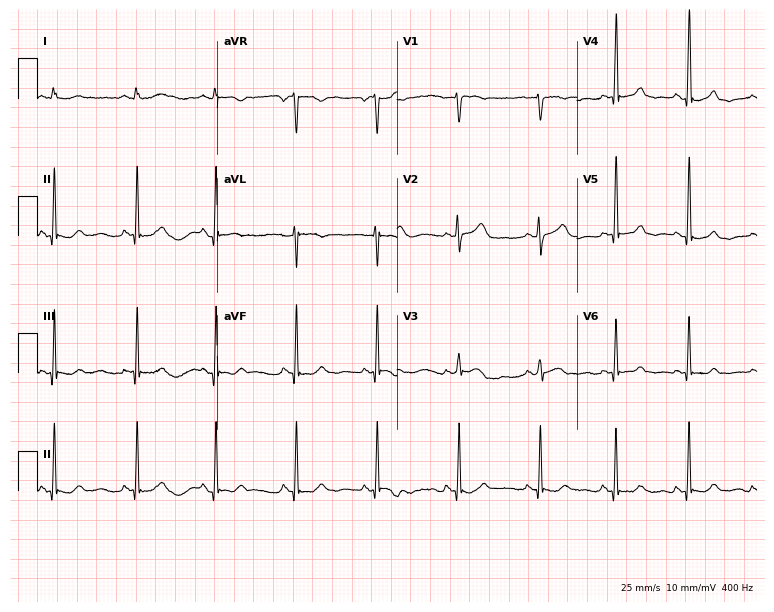
12-lead ECG from a 35-year-old woman. Screened for six findings — first-degree AV block, right bundle branch block (RBBB), left bundle branch block (LBBB), sinus bradycardia, atrial fibrillation (AF), sinus tachycardia — none is recorded.